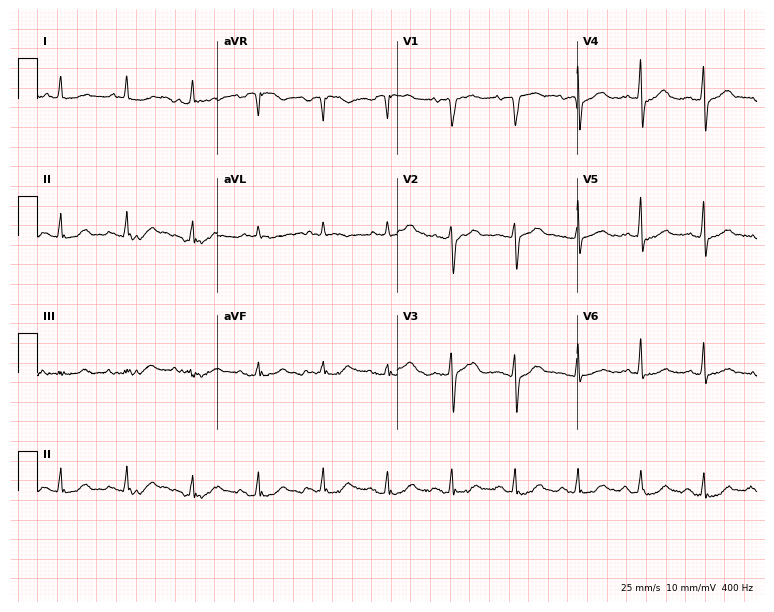
Electrocardiogram, a 78-year-old male. Of the six screened findings (first-degree AV block, right bundle branch block, left bundle branch block, sinus bradycardia, atrial fibrillation, sinus tachycardia), none is recorded. Only these six findings were labelled.